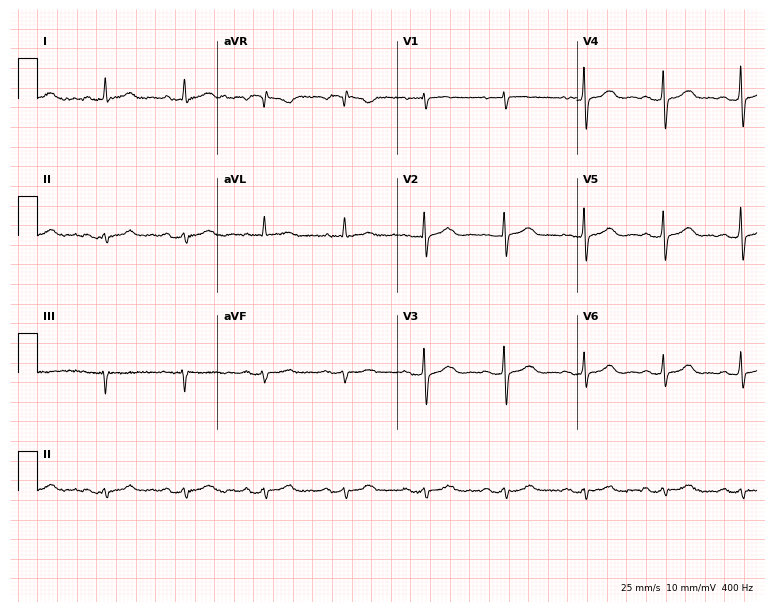
12-lead ECG (7.3-second recording at 400 Hz) from a 73-year-old female. Screened for six findings — first-degree AV block, right bundle branch block, left bundle branch block, sinus bradycardia, atrial fibrillation, sinus tachycardia — none is recorded. Only these six findings were labelled.